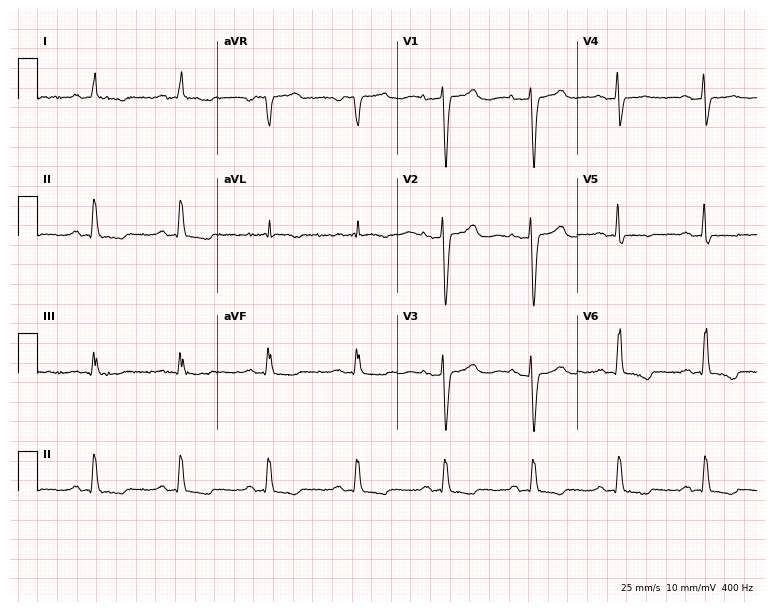
12-lead ECG from a 68-year-old woman (7.3-second recording at 400 Hz). No first-degree AV block, right bundle branch block, left bundle branch block, sinus bradycardia, atrial fibrillation or sinus tachycardia recorded for this tracing.